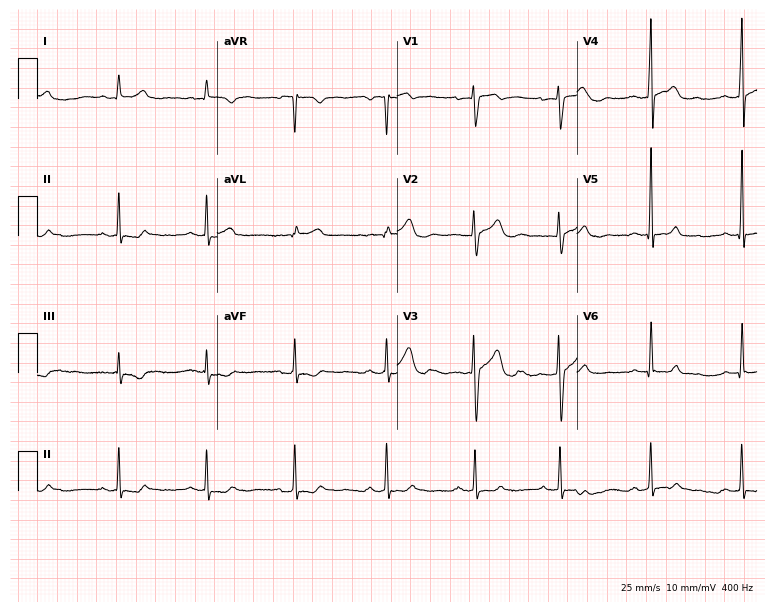
ECG — a 25-year-old male patient. Screened for six findings — first-degree AV block, right bundle branch block (RBBB), left bundle branch block (LBBB), sinus bradycardia, atrial fibrillation (AF), sinus tachycardia — none is recorded.